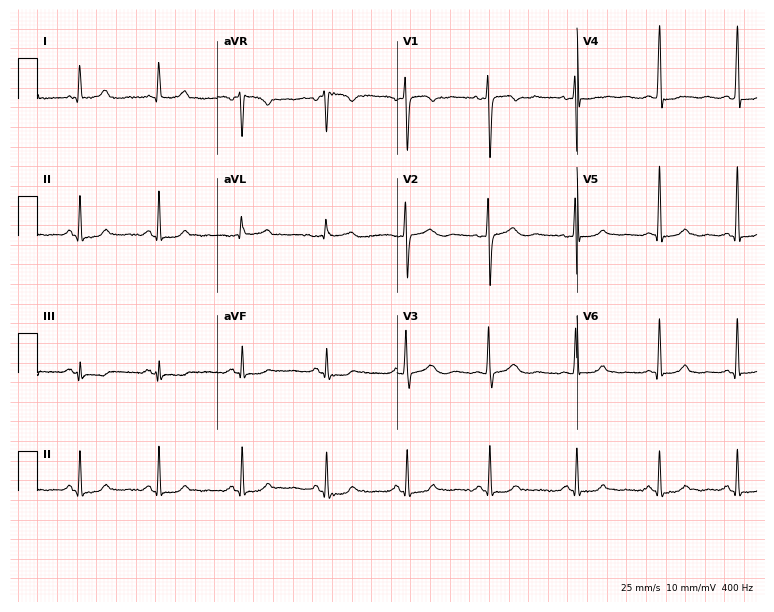
12-lead ECG from a 29-year-old female. Recorded interpretation: within normal limits.